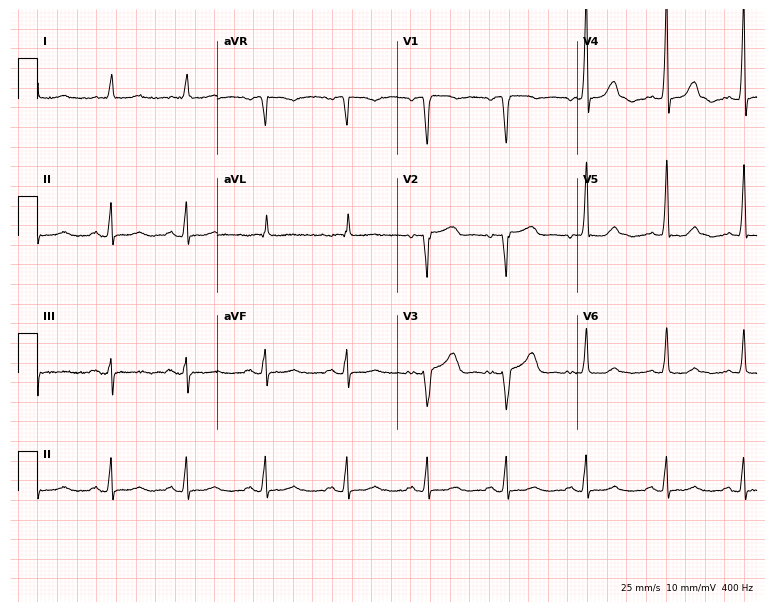
Standard 12-lead ECG recorded from a 75-year-old female patient. None of these six findings is recorded: first-degree AV block, right bundle branch block (RBBB), left bundle branch block (LBBB), sinus bradycardia, atrial fibrillation (AF), sinus tachycardia. Other findings, if any, are not listed.